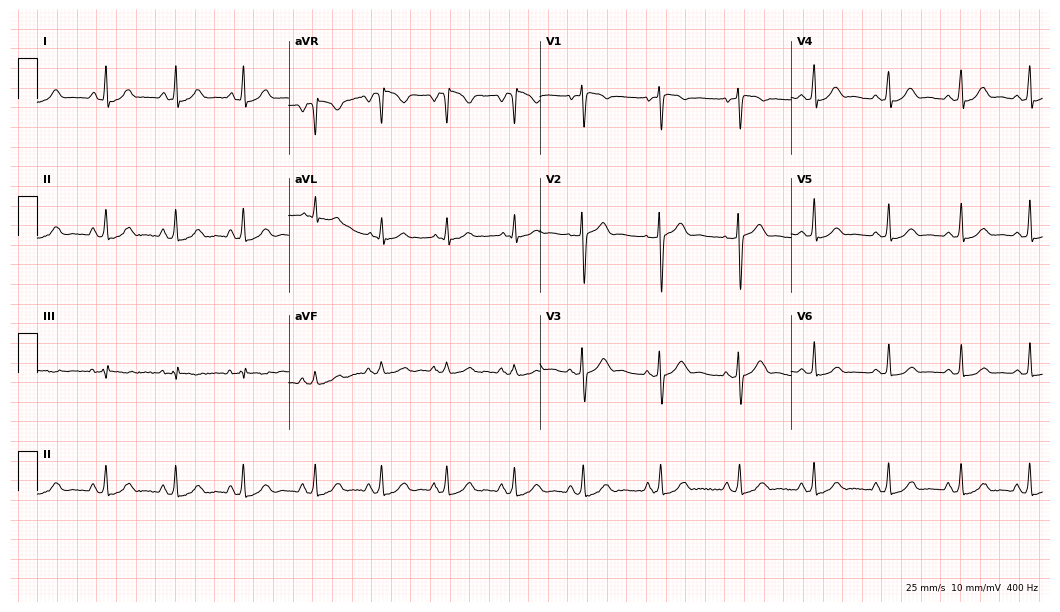
Resting 12-lead electrocardiogram (10.2-second recording at 400 Hz). Patient: an 18-year-old female. Read as a normal ECG.